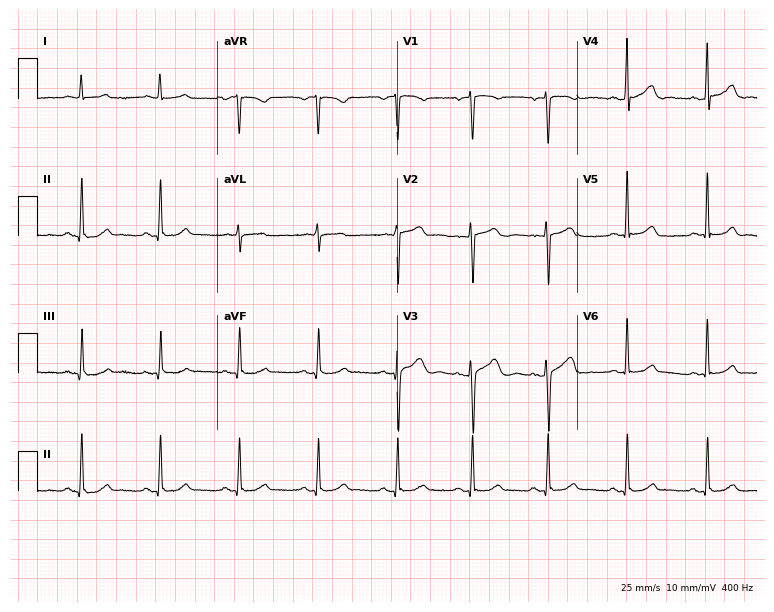
12-lead ECG from a 39-year-old woman. Recorded interpretation: within normal limits.